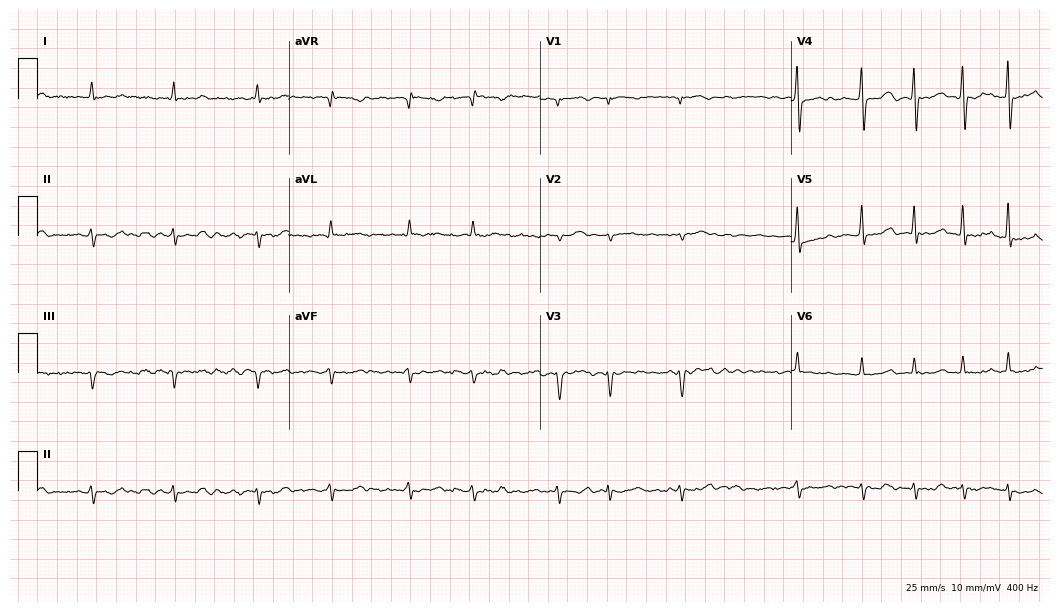
12-lead ECG from a 74-year-old male patient. Shows atrial fibrillation.